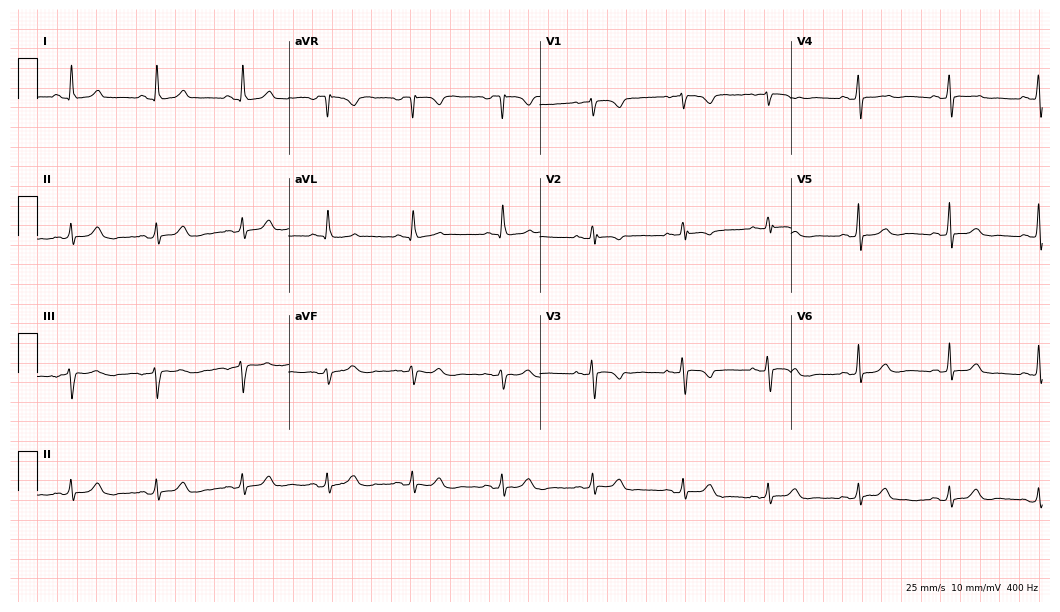
12-lead ECG from a 56-year-old female (10.2-second recording at 400 Hz). No first-degree AV block, right bundle branch block, left bundle branch block, sinus bradycardia, atrial fibrillation or sinus tachycardia recorded for this tracing.